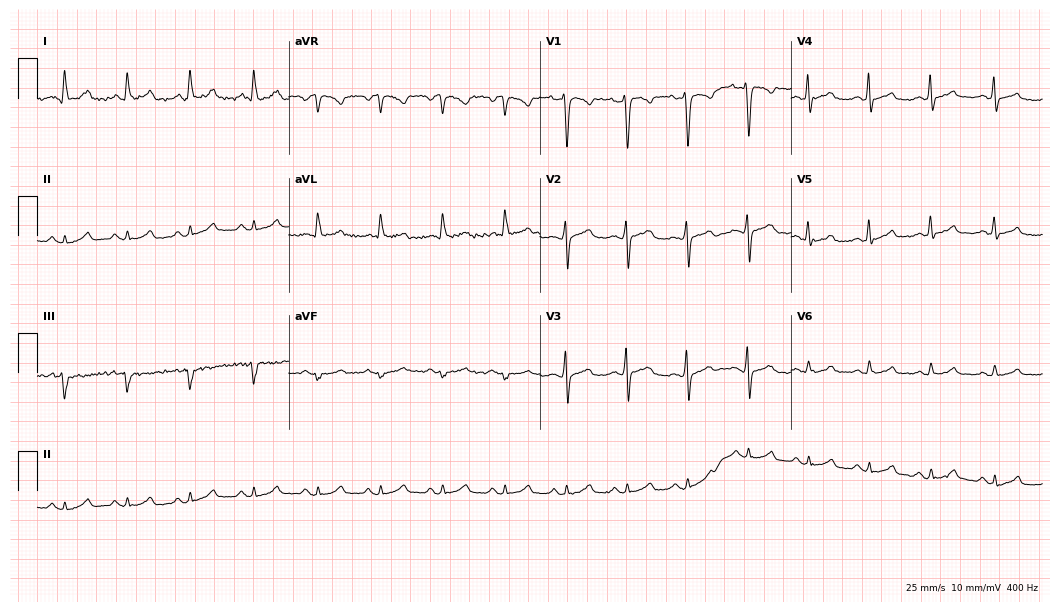
Resting 12-lead electrocardiogram. Patient: a 26-year-old female. Read as a normal ECG.